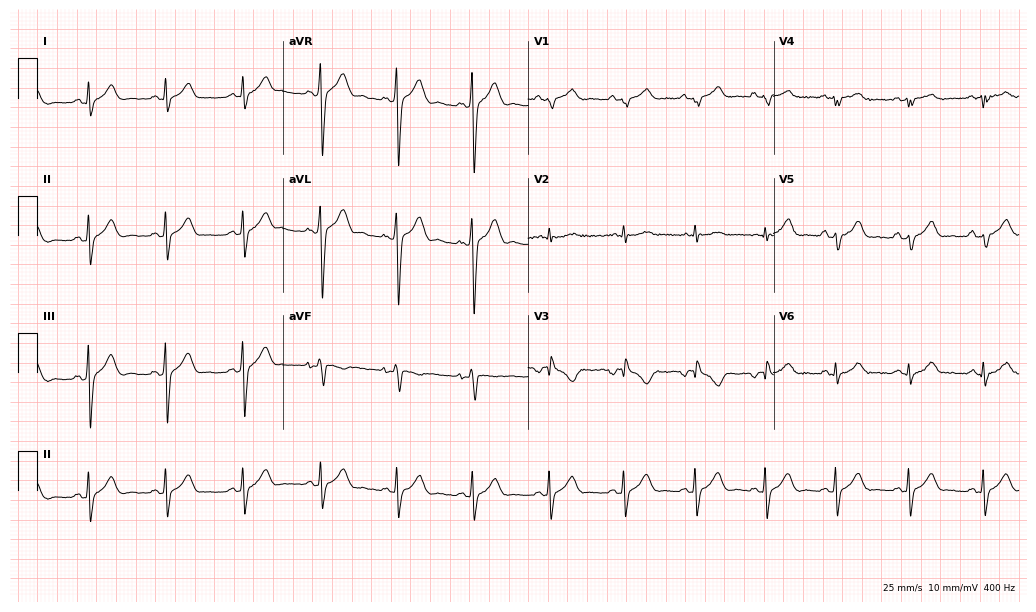
12-lead ECG from a 23-year-old man. Screened for six findings — first-degree AV block, right bundle branch block, left bundle branch block, sinus bradycardia, atrial fibrillation, sinus tachycardia — none is recorded. Only these six findings were labelled.